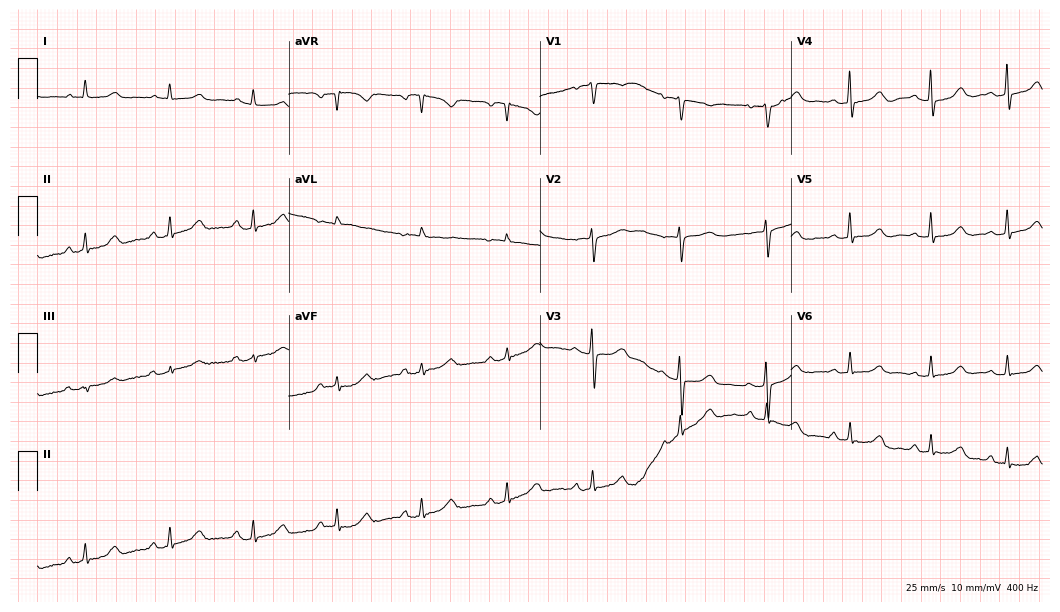
Resting 12-lead electrocardiogram. Patient: a 74-year-old female. Read as a normal ECG.